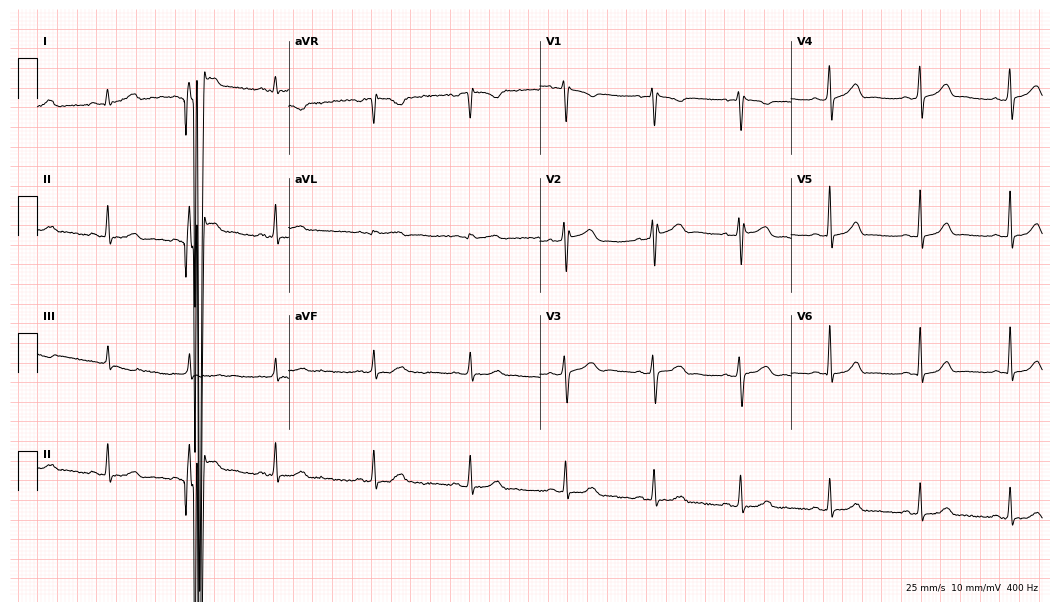
12-lead ECG from a female, 26 years old (10.2-second recording at 400 Hz). Recorded interpretation: within normal limits.